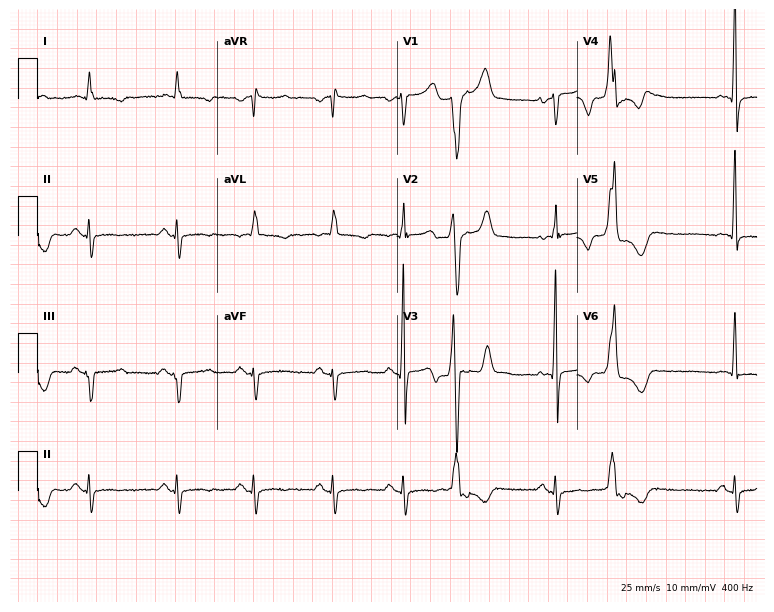
12-lead ECG from a 76-year-old male (7.3-second recording at 400 Hz). No first-degree AV block, right bundle branch block, left bundle branch block, sinus bradycardia, atrial fibrillation or sinus tachycardia recorded for this tracing. Only these six findings were labelled.